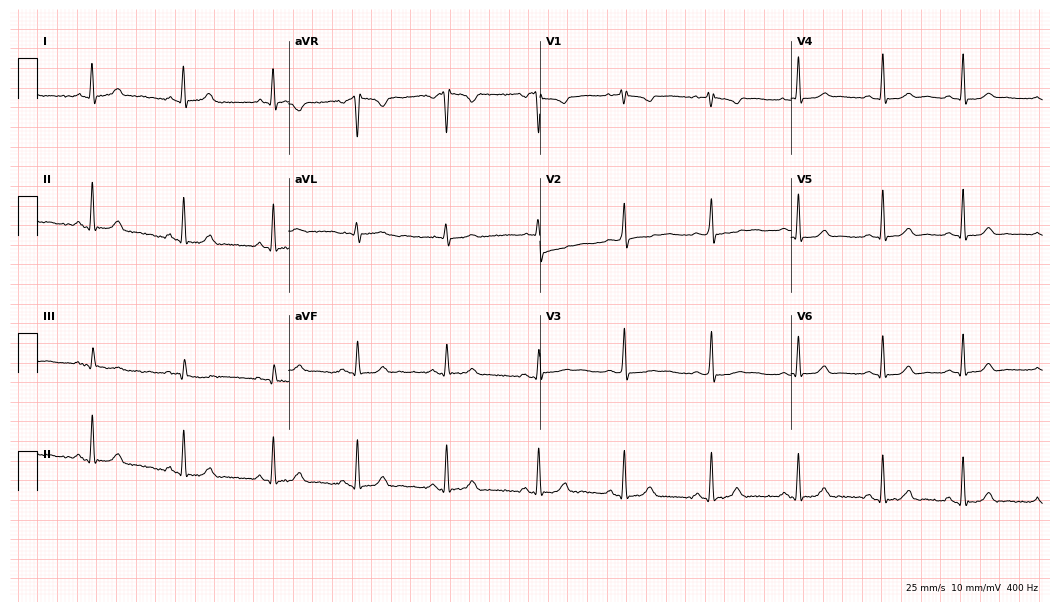
ECG (10.2-second recording at 400 Hz) — a female patient, 34 years old. Labelled as a normal ECG.